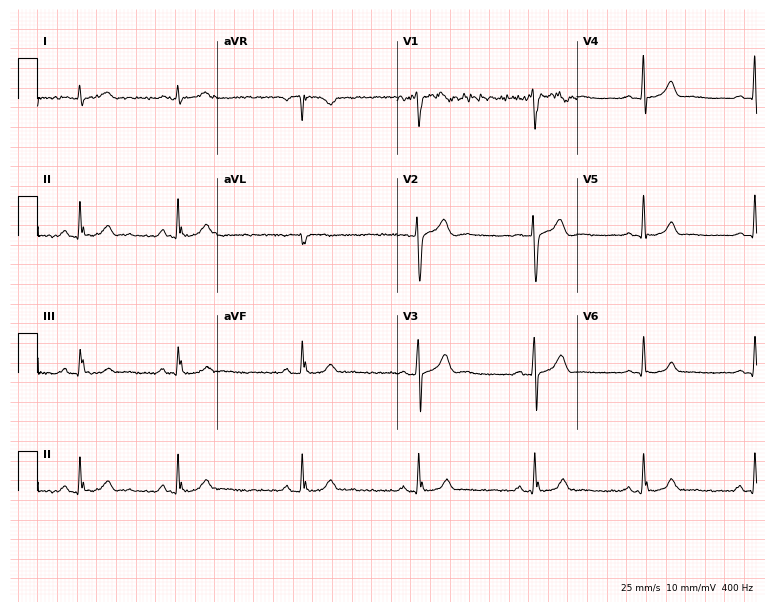
Resting 12-lead electrocardiogram (7.3-second recording at 400 Hz). Patient: a man, 25 years old. Read as a normal ECG.